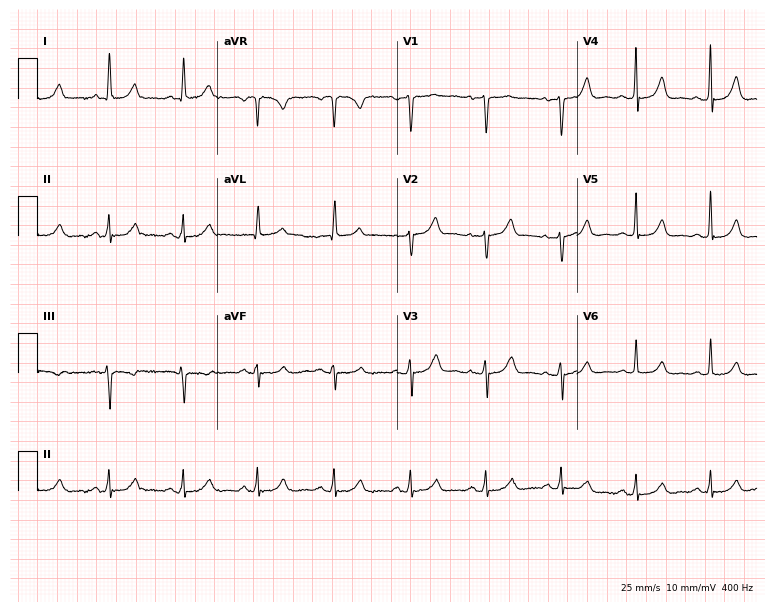
12-lead ECG (7.3-second recording at 400 Hz) from a 65-year-old female patient. Labelled as a normal ECG.